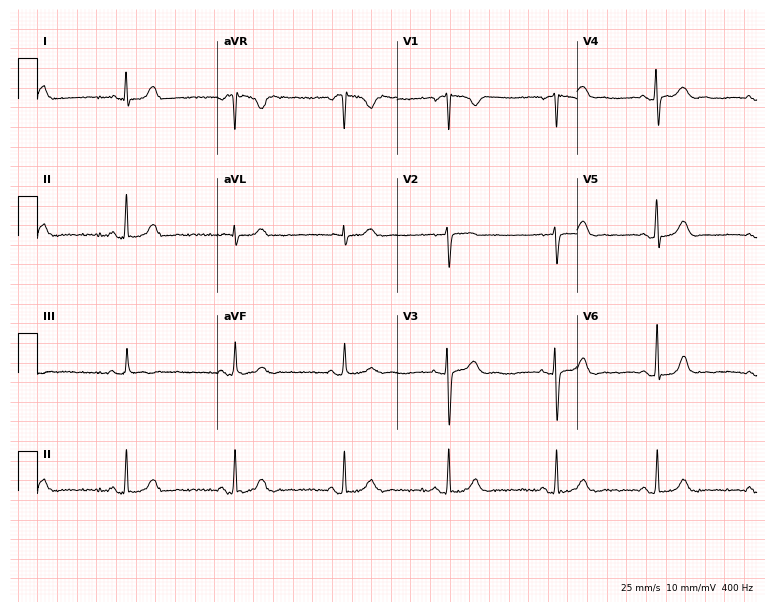
Electrocardiogram, a 32-year-old woman. Overall reading on record: normal ECG.